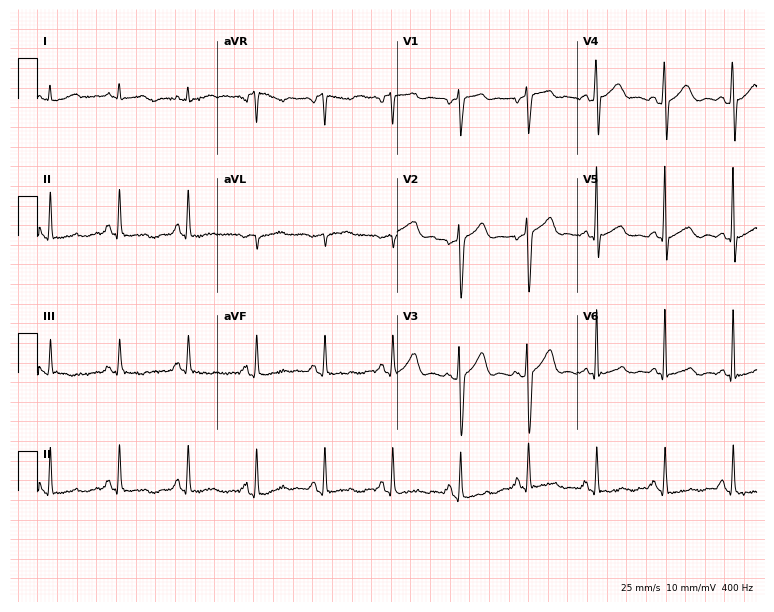
ECG — a male patient, 56 years old. Screened for six findings — first-degree AV block, right bundle branch block, left bundle branch block, sinus bradycardia, atrial fibrillation, sinus tachycardia — none is recorded.